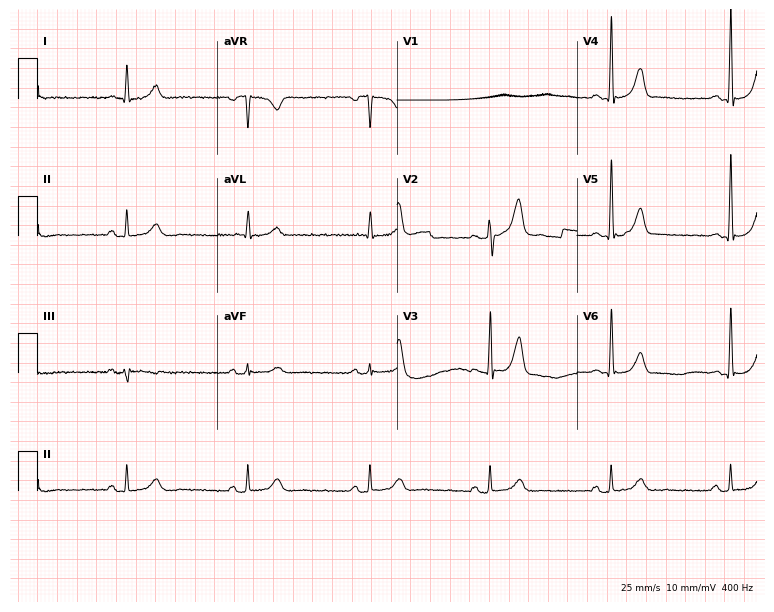
Standard 12-lead ECG recorded from a 68-year-old male. None of these six findings is recorded: first-degree AV block, right bundle branch block, left bundle branch block, sinus bradycardia, atrial fibrillation, sinus tachycardia. Only these six findings were labelled.